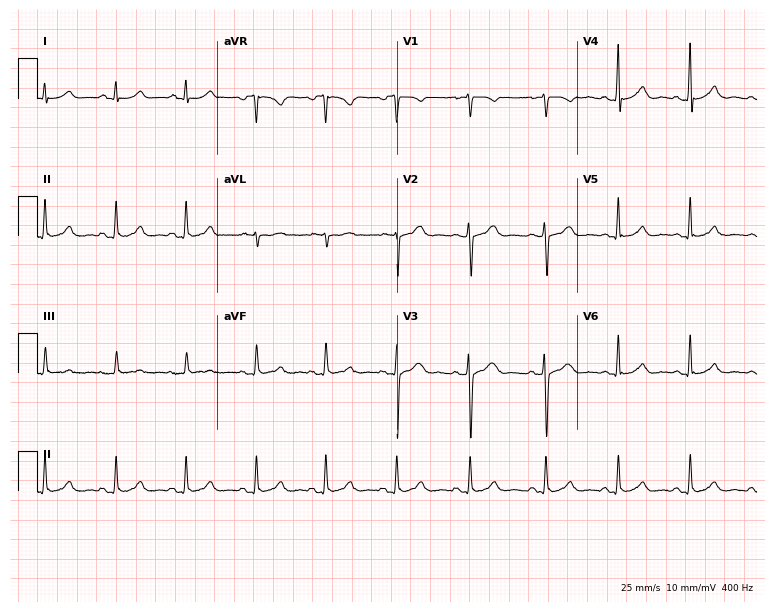
Resting 12-lead electrocardiogram. Patient: a female, 21 years old. Read as a normal ECG.